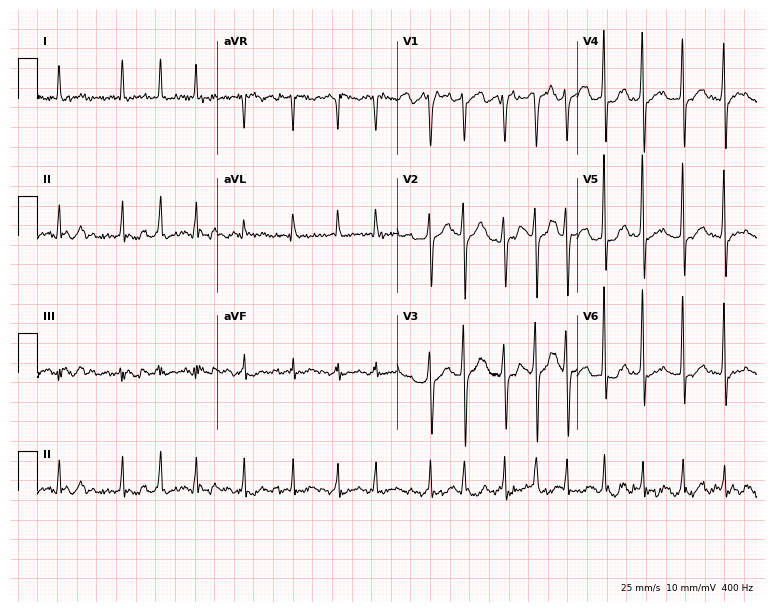
Electrocardiogram (7.3-second recording at 400 Hz), a male, 72 years old. Of the six screened findings (first-degree AV block, right bundle branch block, left bundle branch block, sinus bradycardia, atrial fibrillation, sinus tachycardia), none is recorded.